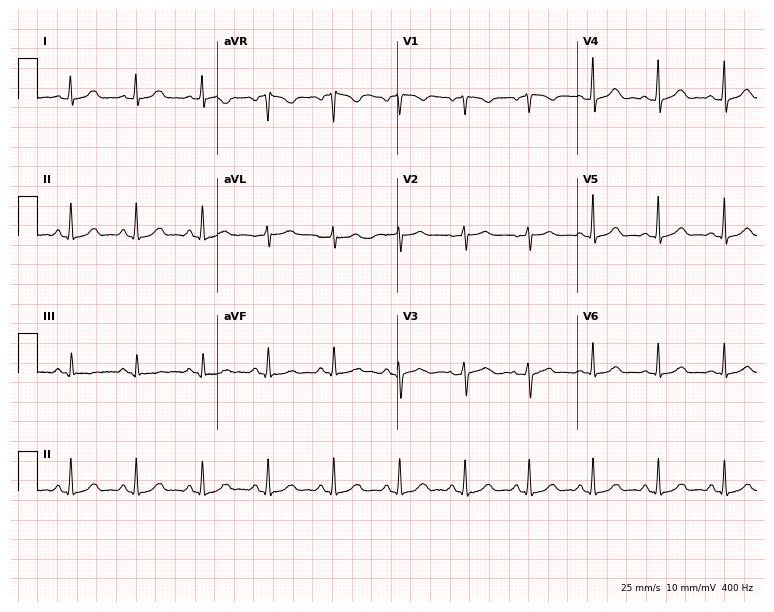
12-lead ECG (7.3-second recording at 400 Hz) from a 47-year-old woman. Screened for six findings — first-degree AV block, right bundle branch block (RBBB), left bundle branch block (LBBB), sinus bradycardia, atrial fibrillation (AF), sinus tachycardia — none is recorded. Only these six findings were labelled.